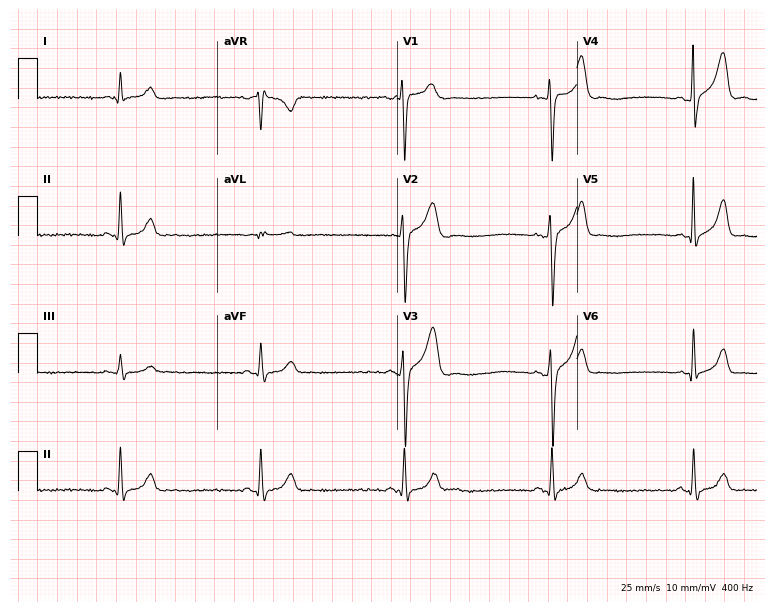
ECG — a 17-year-old male patient. Findings include sinus bradycardia (a sinus rate of 50 beats per minute or less).